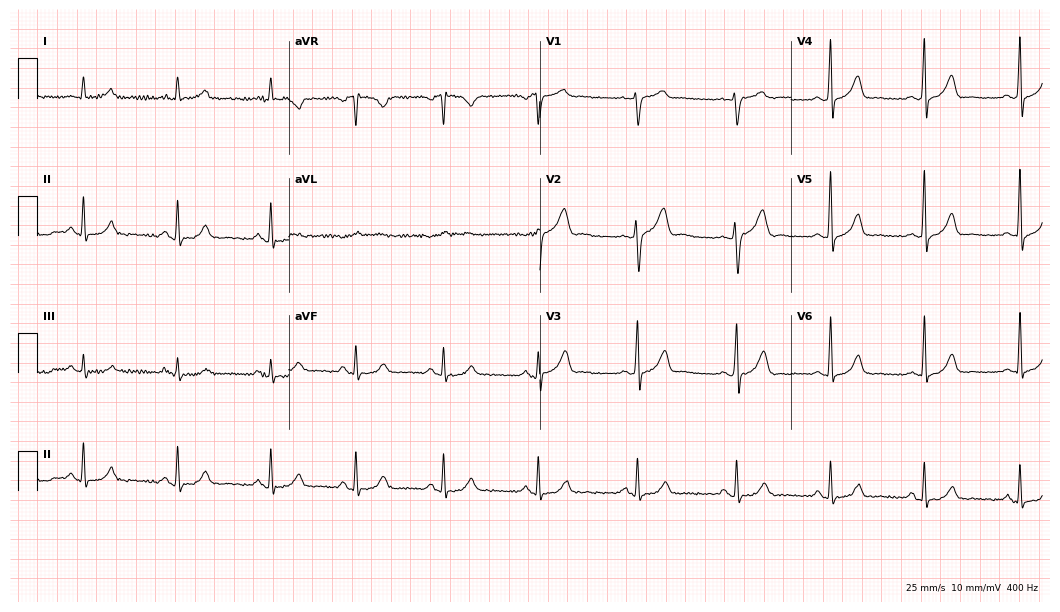
12-lead ECG from a 39-year-old male. Labelled as a normal ECG.